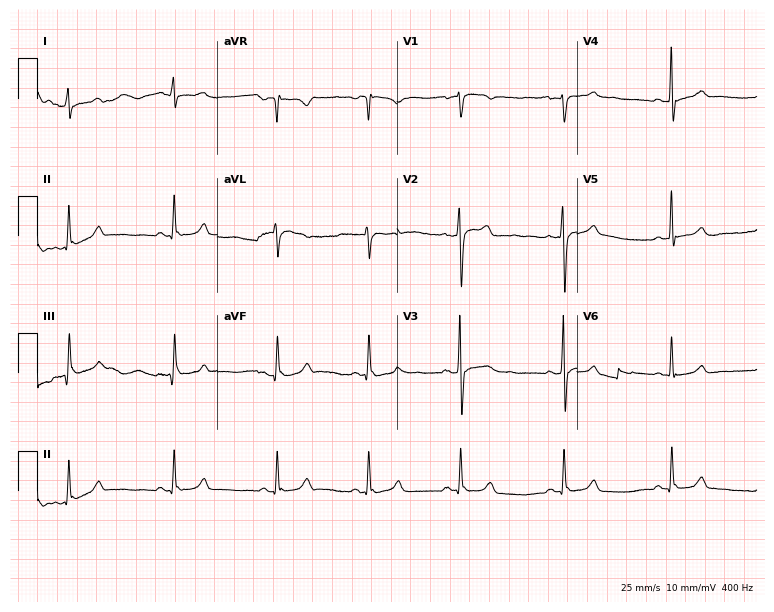
Electrocardiogram (7.3-second recording at 400 Hz), a 26-year-old man. Overall reading on record: normal ECG.